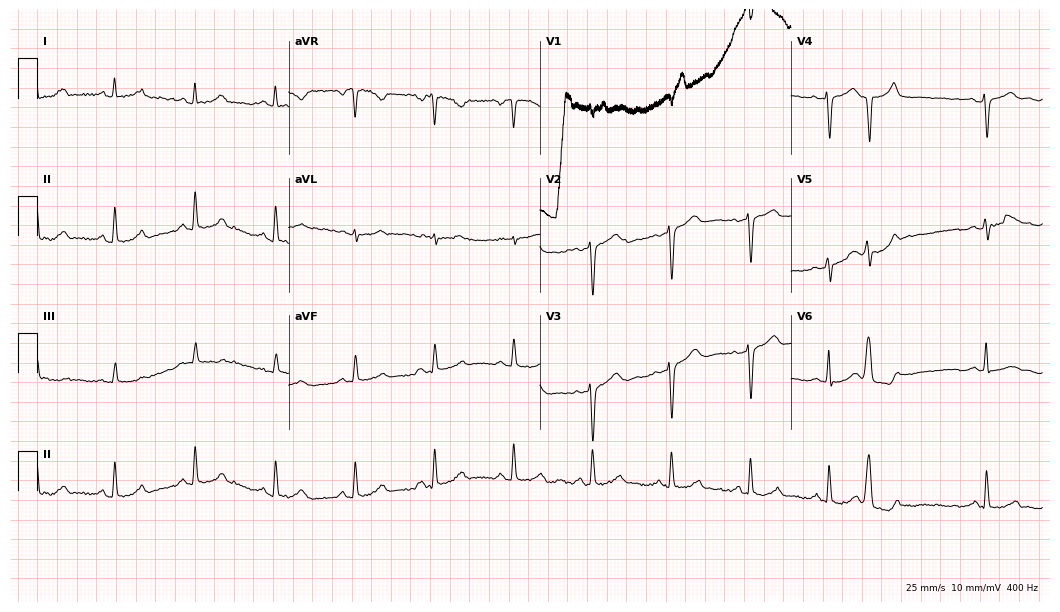
Electrocardiogram, a 53-year-old woman. Of the six screened findings (first-degree AV block, right bundle branch block (RBBB), left bundle branch block (LBBB), sinus bradycardia, atrial fibrillation (AF), sinus tachycardia), none is recorded. Other findings, if any, are not listed.